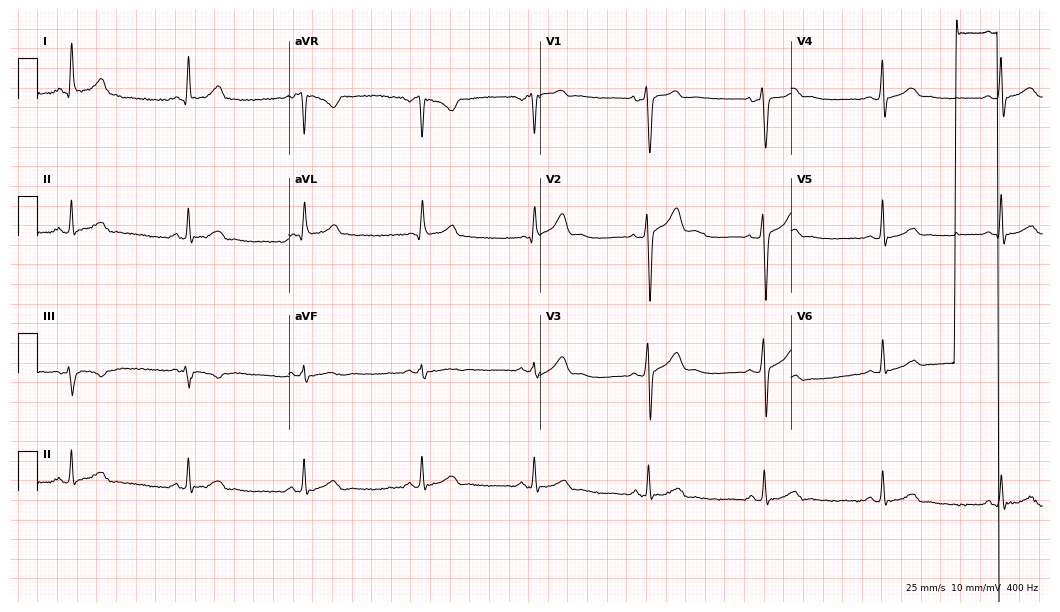
12-lead ECG from a 24-year-old male patient (10.2-second recording at 400 Hz). No first-degree AV block, right bundle branch block (RBBB), left bundle branch block (LBBB), sinus bradycardia, atrial fibrillation (AF) or sinus tachycardia recorded for this tracing. Only these six findings were labelled.